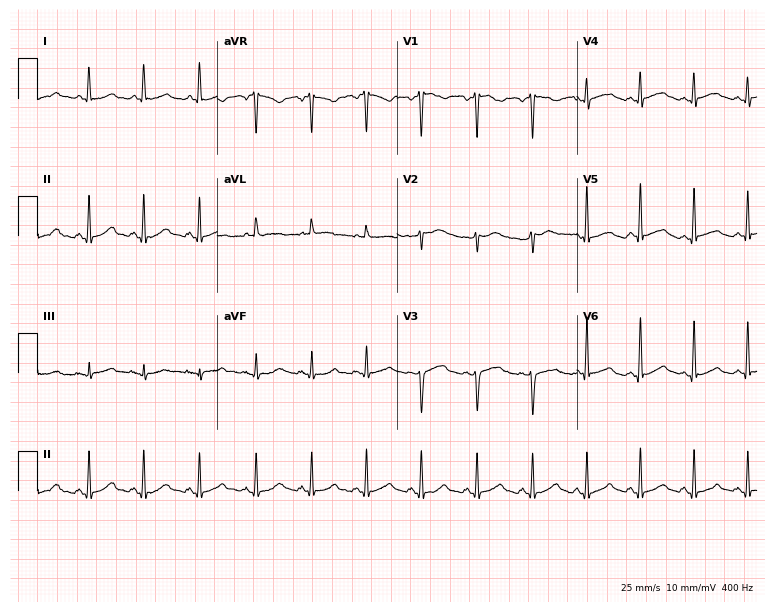
12-lead ECG from a 39-year-old female. Shows sinus tachycardia (a sinus rate of 100 beats per minute or more).